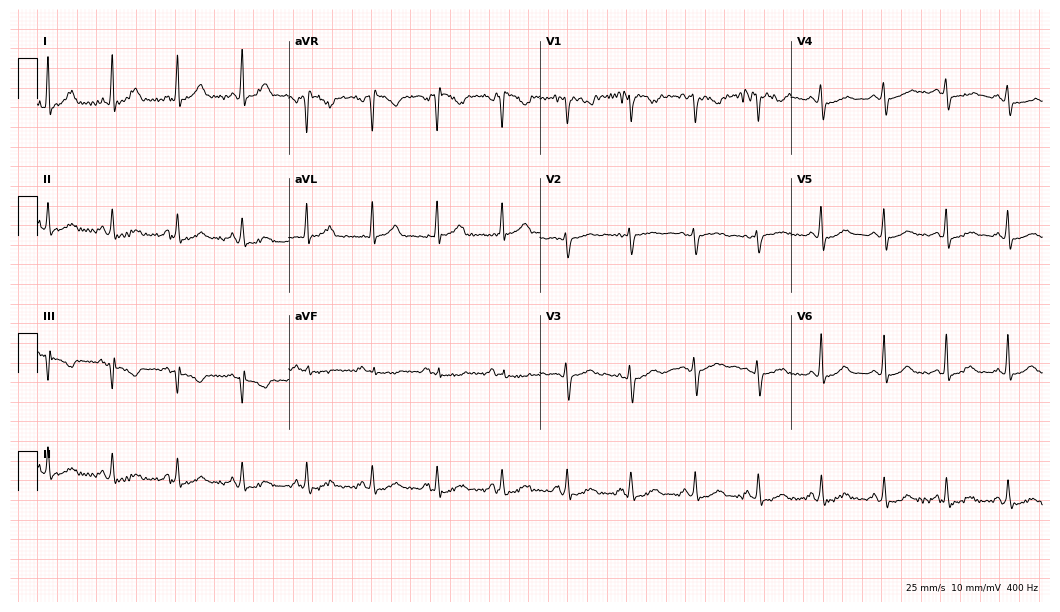
12-lead ECG from a woman, 31 years old. Labelled as a normal ECG.